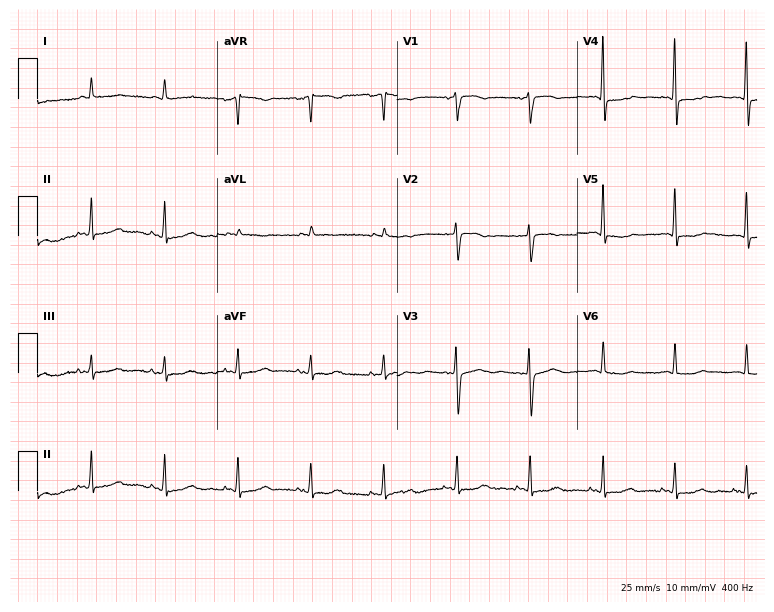
Electrocardiogram, an 84-year-old female. Of the six screened findings (first-degree AV block, right bundle branch block (RBBB), left bundle branch block (LBBB), sinus bradycardia, atrial fibrillation (AF), sinus tachycardia), none is recorded. Findings outside these six are not listed.